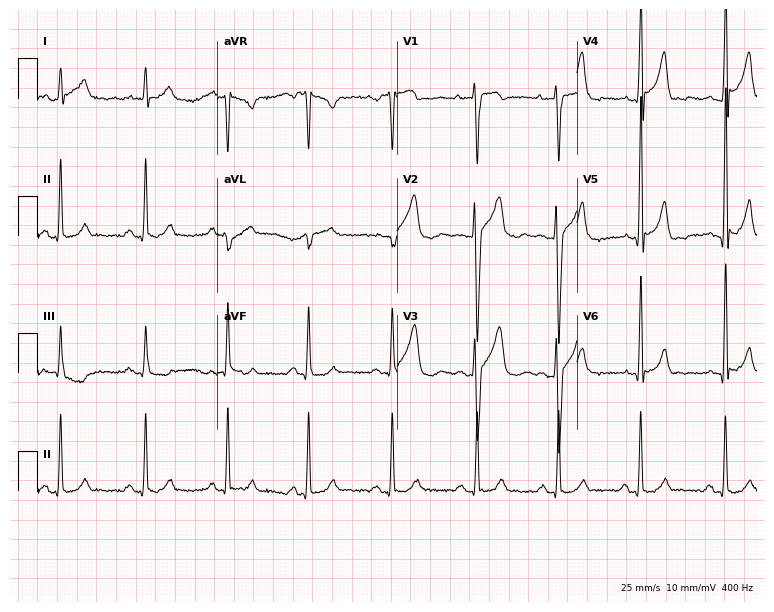
Resting 12-lead electrocardiogram. Patient: a 33-year-old male. None of these six findings is recorded: first-degree AV block, right bundle branch block, left bundle branch block, sinus bradycardia, atrial fibrillation, sinus tachycardia. Other findings, if any, are not listed.